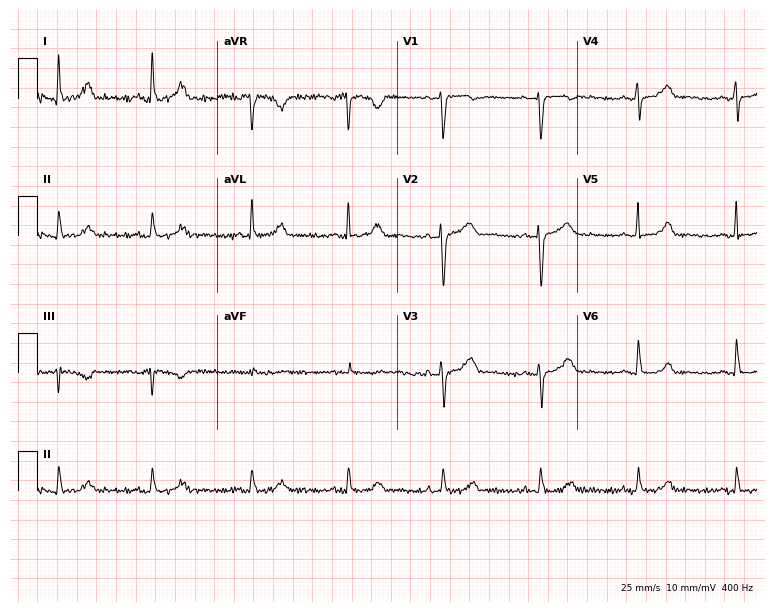
12-lead ECG from a 41-year-old woman. Recorded interpretation: within normal limits.